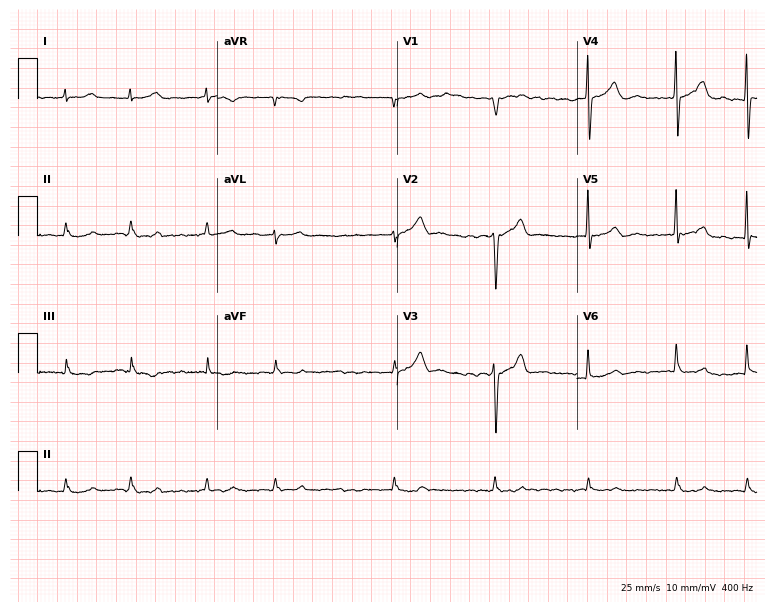
Standard 12-lead ECG recorded from a 76-year-old male patient (7.3-second recording at 400 Hz). The tracing shows atrial fibrillation.